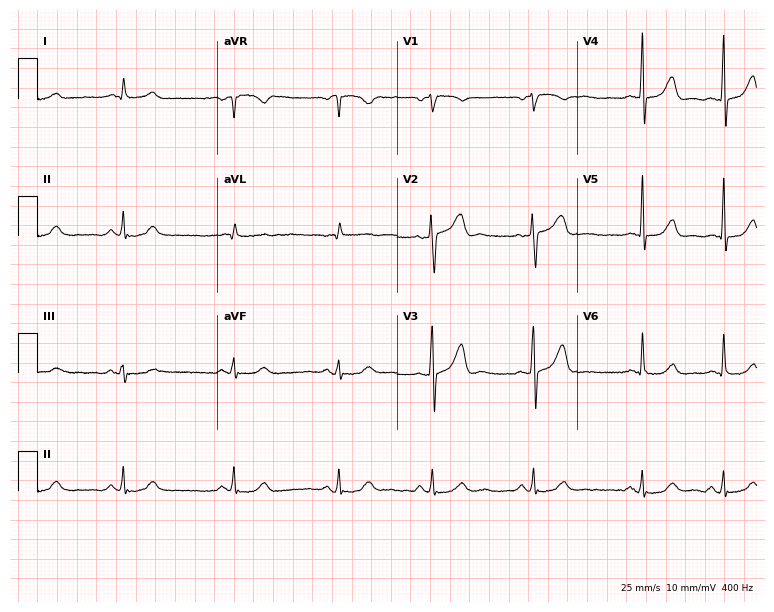
Resting 12-lead electrocardiogram. Patient: a 62-year-old male. Read as a normal ECG.